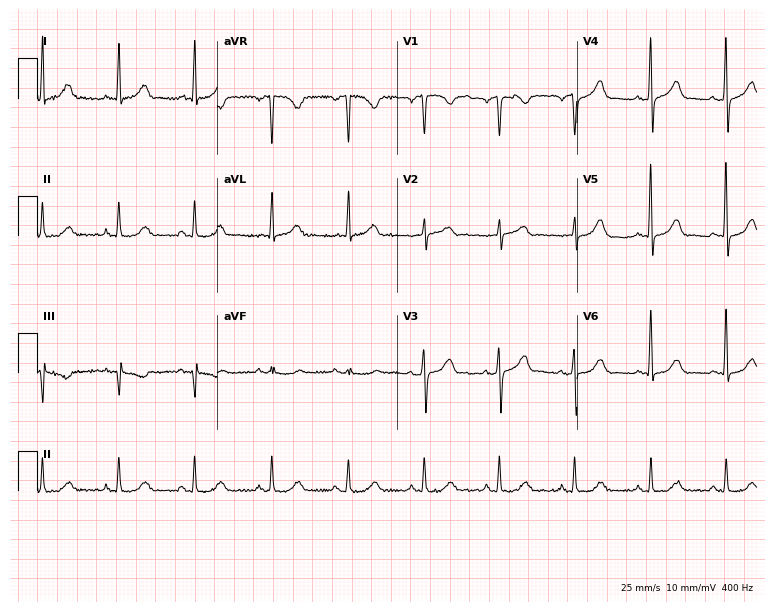
12-lead ECG from a 64-year-old man (7.3-second recording at 400 Hz). Recorded interpretation: within normal limits.